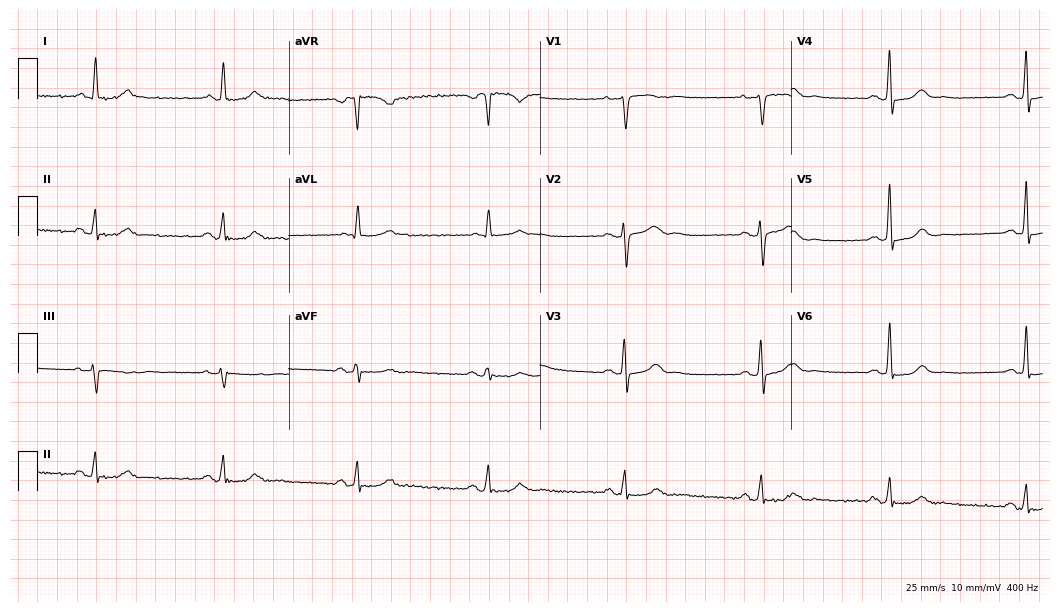
12-lead ECG from a woman, 49 years old. Screened for six findings — first-degree AV block, right bundle branch block, left bundle branch block, sinus bradycardia, atrial fibrillation, sinus tachycardia — none is recorded. Only these six findings were labelled.